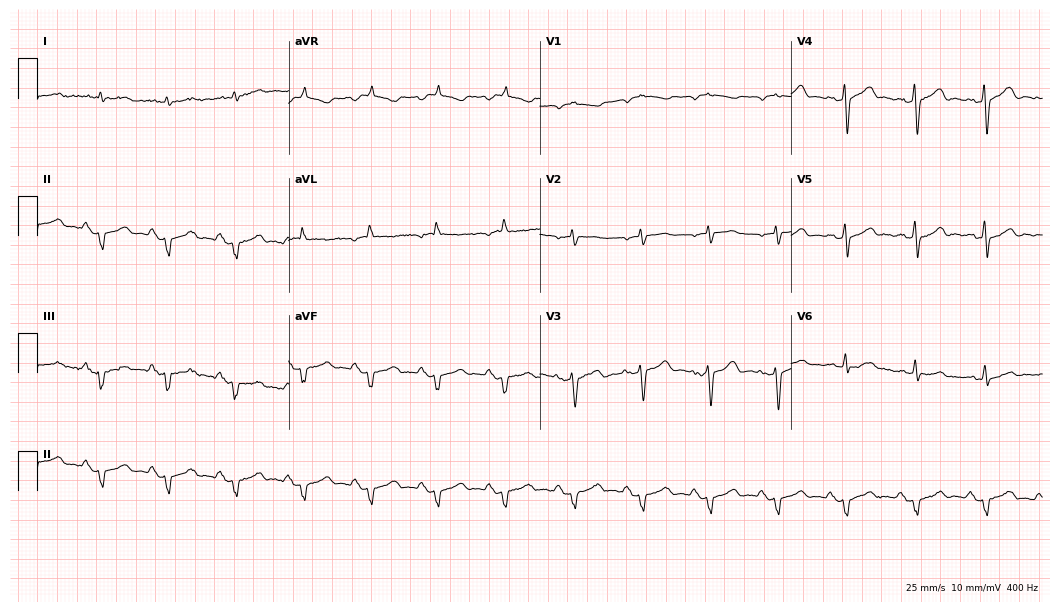
Standard 12-lead ECG recorded from a 77-year-old man (10.2-second recording at 400 Hz). None of these six findings is recorded: first-degree AV block, right bundle branch block, left bundle branch block, sinus bradycardia, atrial fibrillation, sinus tachycardia. Only these six findings were labelled.